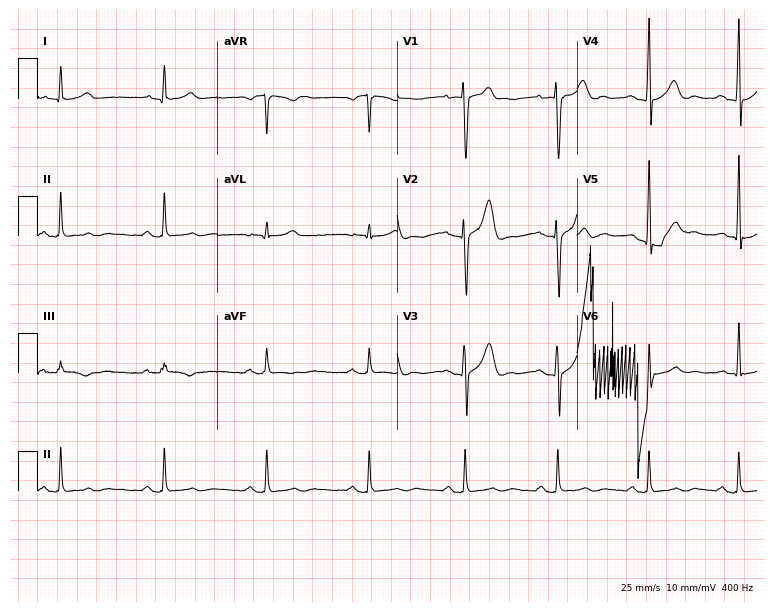
12-lead ECG from a 23-year-old male. Recorded interpretation: within normal limits.